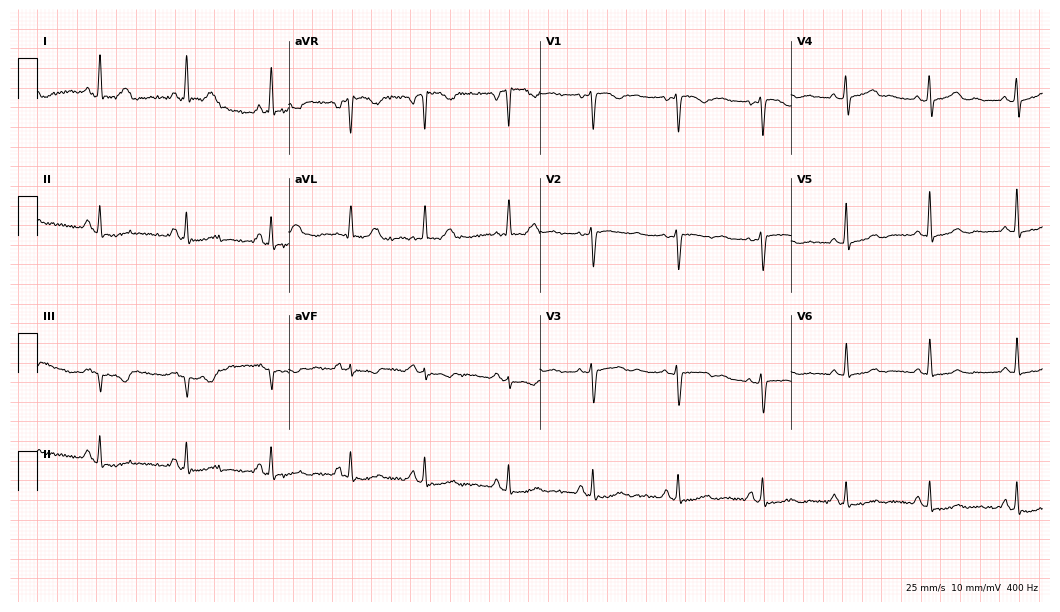
ECG (10.2-second recording at 400 Hz) — a female, 45 years old. Labelled as a normal ECG.